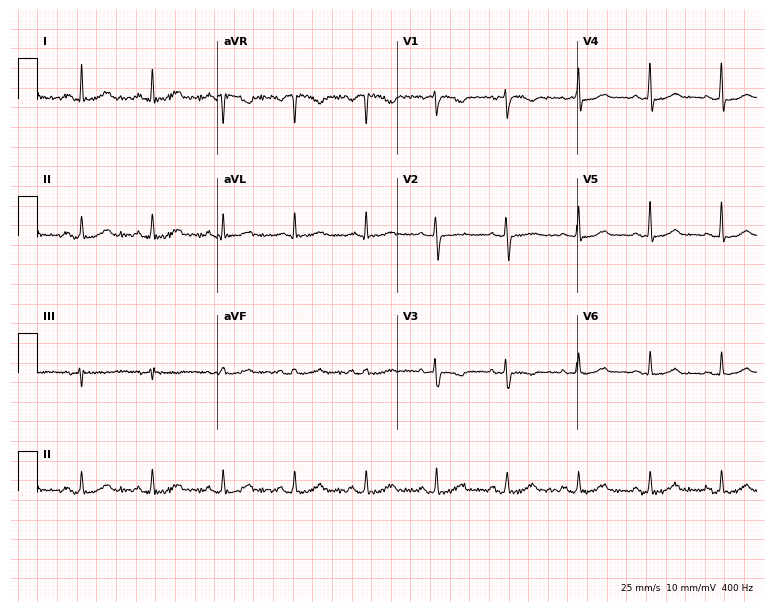
Standard 12-lead ECG recorded from a woman, 50 years old. Read as a normal ECG.